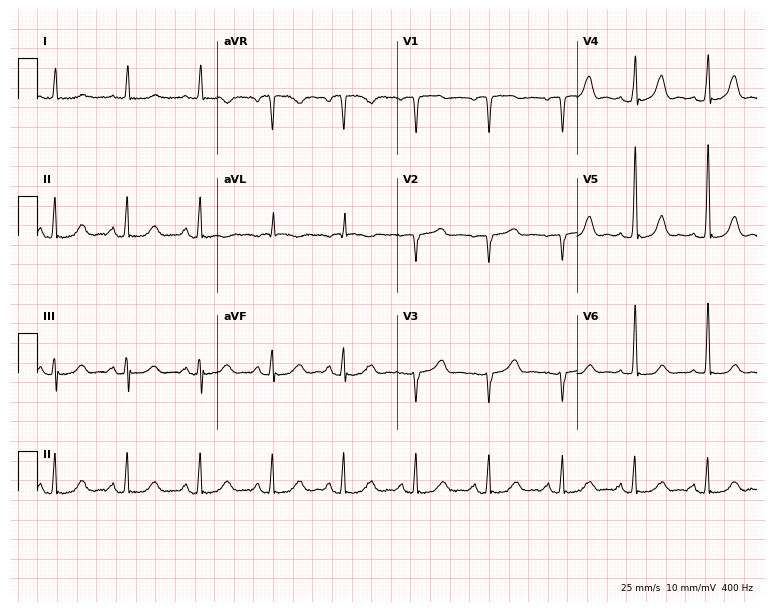
ECG (7.3-second recording at 400 Hz) — a woman, 81 years old. Screened for six findings — first-degree AV block, right bundle branch block, left bundle branch block, sinus bradycardia, atrial fibrillation, sinus tachycardia — none is recorded. Only these six findings were labelled.